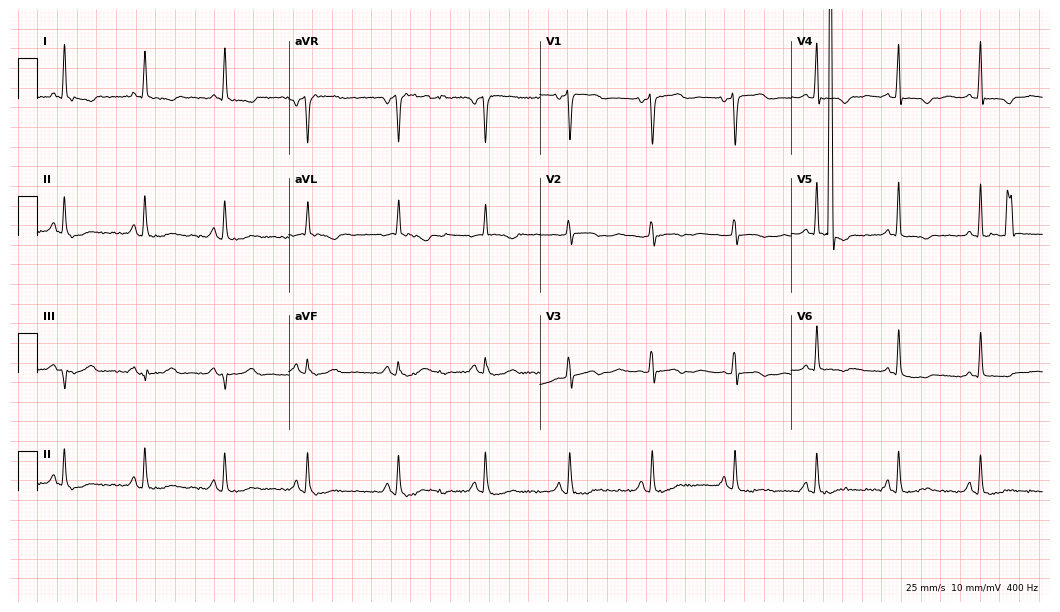
Standard 12-lead ECG recorded from a 76-year-old female patient. None of these six findings is recorded: first-degree AV block, right bundle branch block (RBBB), left bundle branch block (LBBB), sinus bradycardia, atrial fibrillation (AF), sinus tachycardia.